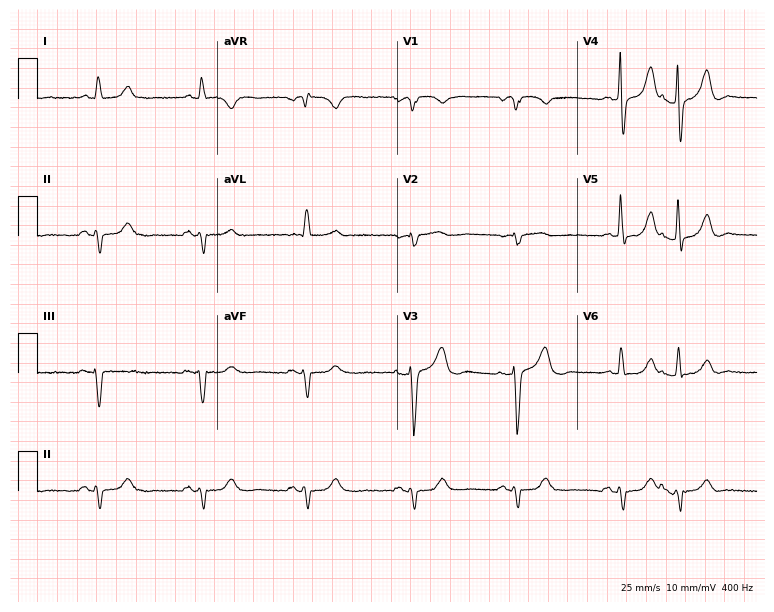
12-lead ECG from an 84-year-old female patient. No first-degree AV block, right bundle branch block, left bundle branch block, sinus bradycardia, atrial fibrillation or sinus tachycardia recorded for this tracing. Only these six findings were labelled.